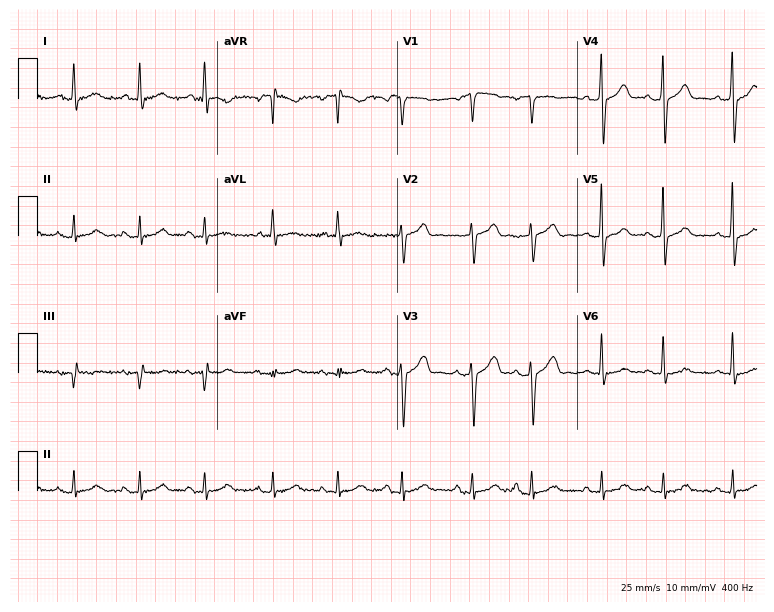
Electrocardiogram, a 67-year-old male. Overall reading on record: normal ECG.